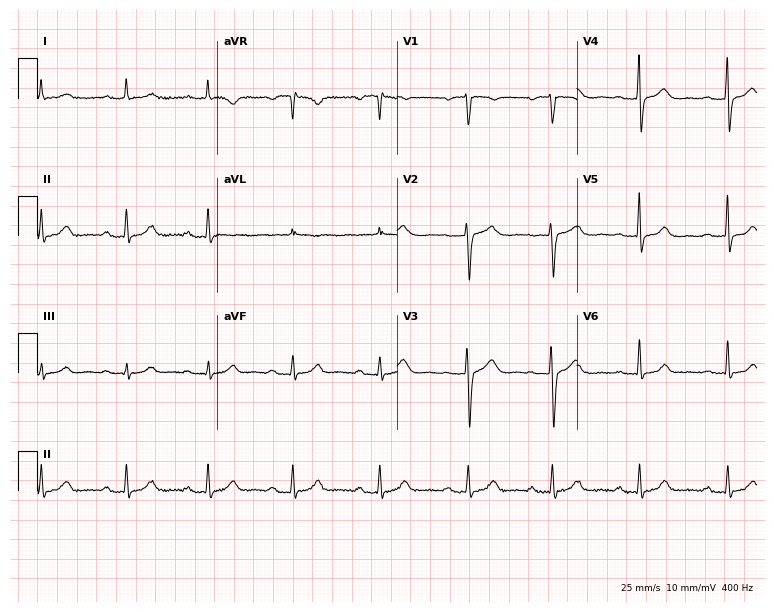
12-lead ECG (7.3-second recording at 400 Hz) from a female patient, 53 years old. Findings include first-degree AV block.